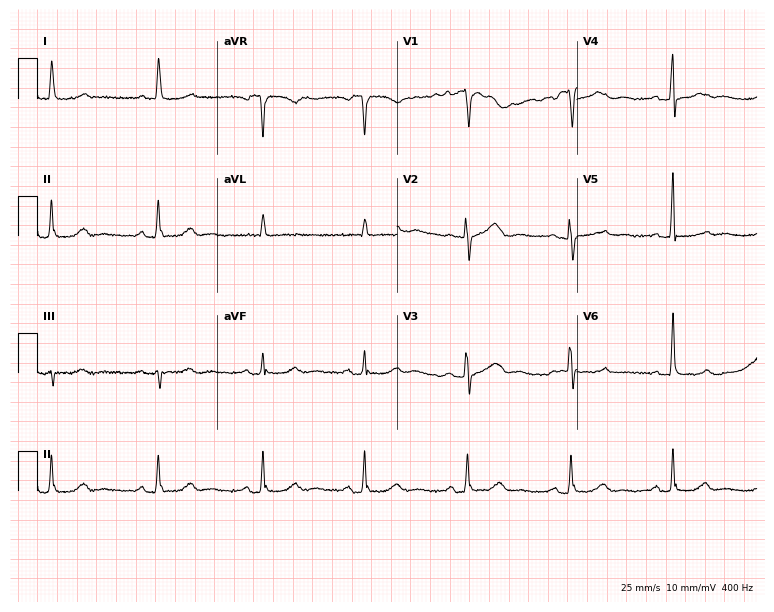
12-lead ECG from a 78-year-old woman. Screened for six findings — first-degree AV block, right bundle branch block (RBBB), left bundle branch block (LBBB), sinus bradycardia, atrial fibrillation (AF), sinus tachycardia — none is recorded.